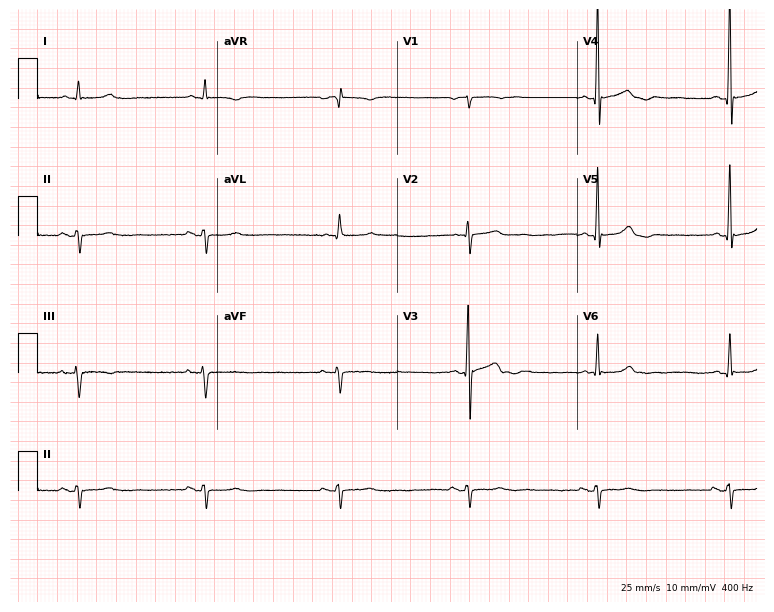
Standard 12-lead ECG recorded from a man, 56 years old (7.3-second recording at 400 Hz). The tracing shows sinus bradycardia (a sinus rate of 50 beats per minute or less).